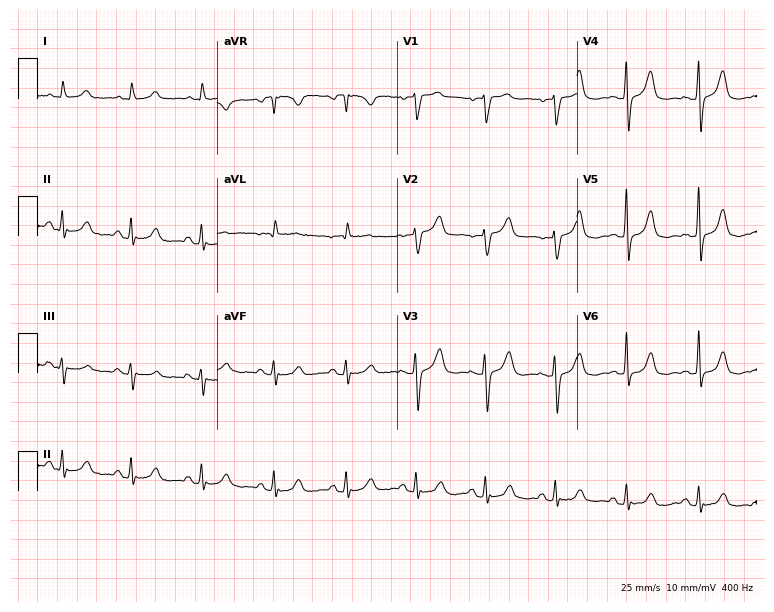
12-lead ECG from an 80-year-old female. Screened for six findings — first-degree AV block, right bundle branch block, left bundle branch block, sinus bradycardia, atrial fibrillation, sinus tachycardia — none is recorded. Findings outside these six are not listed.